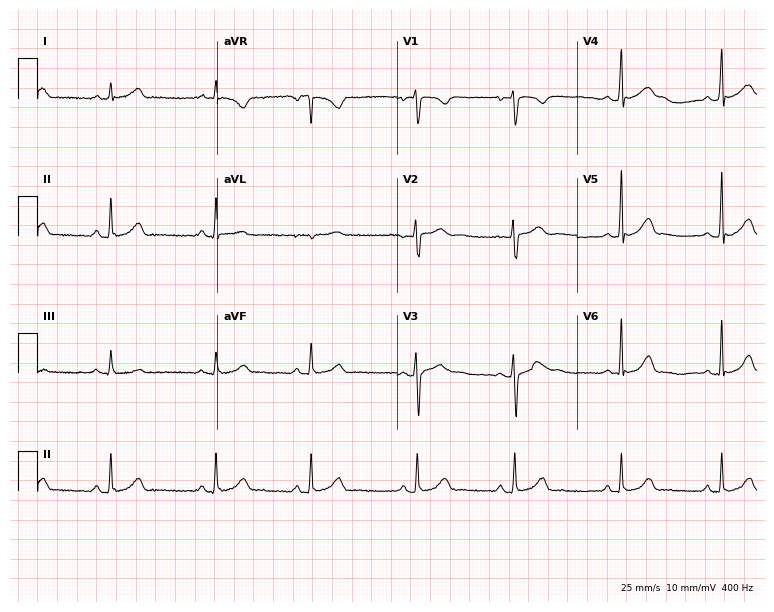
12-lead ECG from a 17-year-old female (7.3-second recording at 400 Hz). Recorded interpretation: within normal limits.